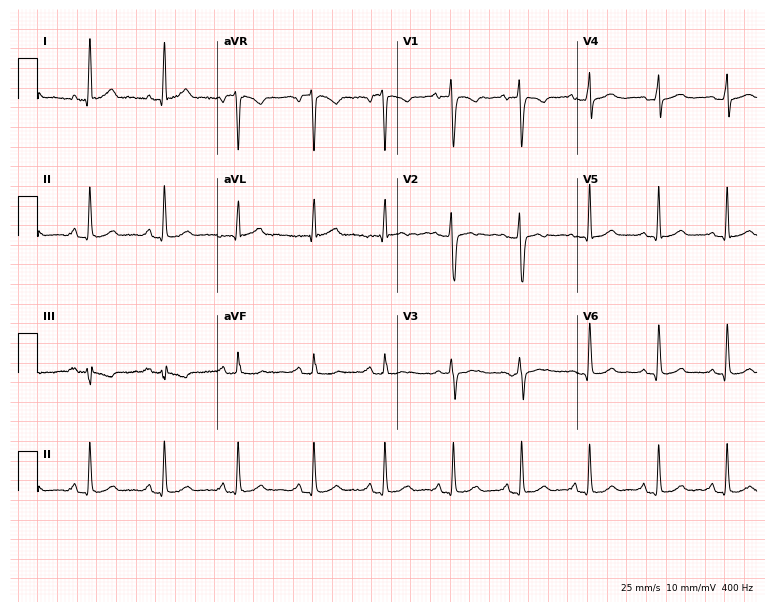
Electrocardiogram (7.3-second recording at 400 Hz), a female patient, 36 years old. Of the six screened findings (first-degree AV block, right bundle branch block (RBBB), left bundle branch block (LBBB), sinus bradycardia, atrial fibrillation (AF), sinus tachycardia), none is recorded. Only these six findings were labelled.